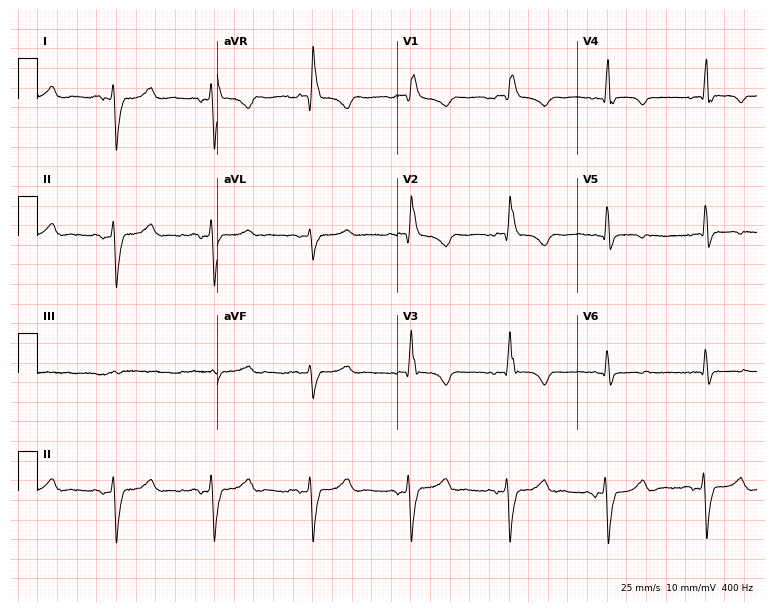
Electrocardiogram, a female patient, 55 years old. Of the six screened findings (first-degree AV block, right bundle branch block (RBBB), left bundle branch block (LBBB), sinus bradycardia, atrial fibrillation (AF), sinus tachycardia), none is recorded. Other findings, if any, are not listed.